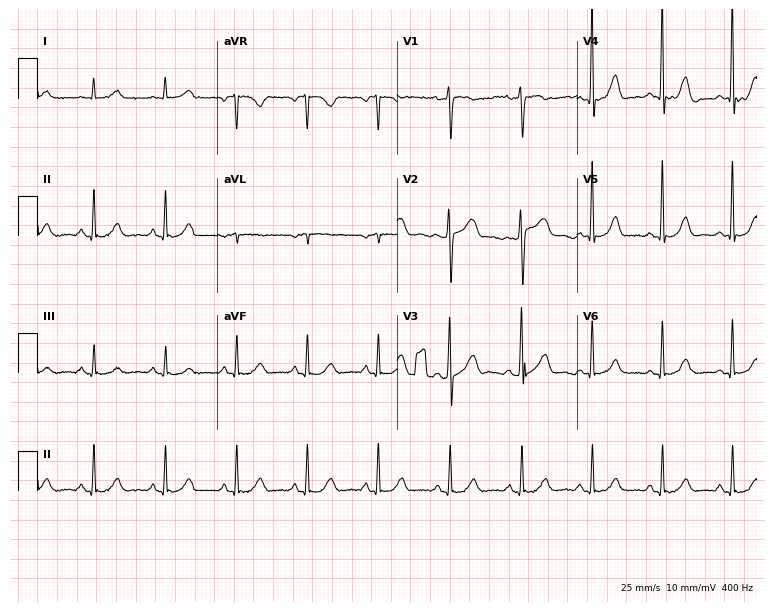
Resting 12-lead electrocardiogram. Patient: a female, 59 years old. Read as a normal ECG.